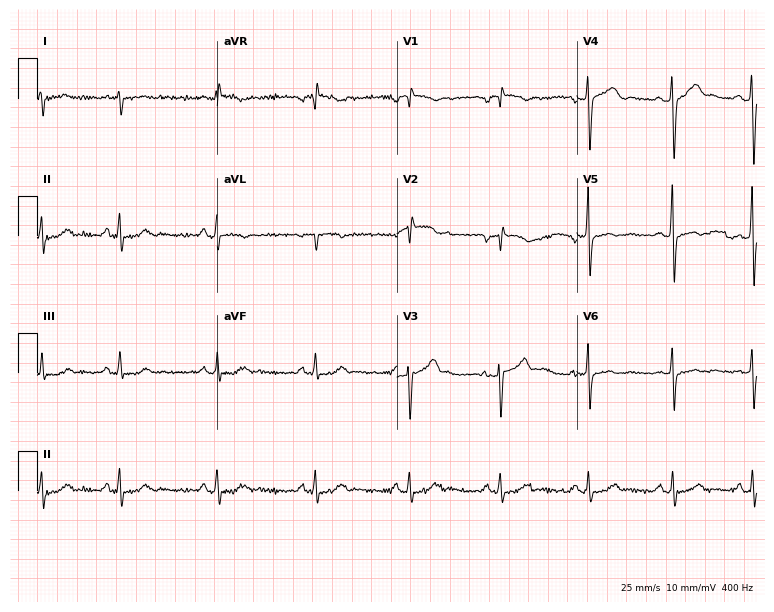
Electrocardiogram (7.3-second recording at 400 Hz), a male patient, 33 years old. Of the six screened findings (first-degree AV block, right bundle branch block, left bundle branch block, sinus bradycardia, atrial fibrillation, sinus tachycardia), none is recorded.